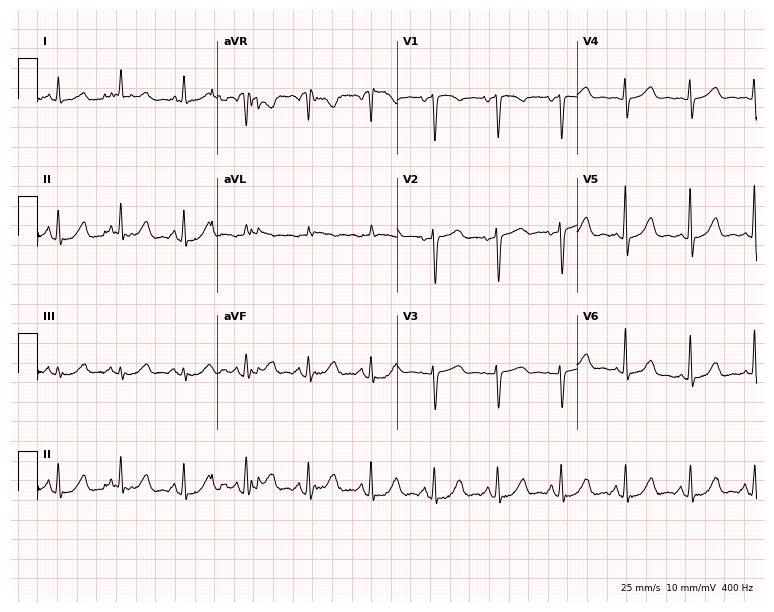
Electrocardiogram (7.3-second recording at 400 Hz), a woman, 55 years old. Of the six screened findings (first-degree AV block, right bundle branch block (RBBB), left bundle branch block (LBBB), sinus bradycardia, atrial fibrillation (AF), sinus tachycardia), none is recorded.